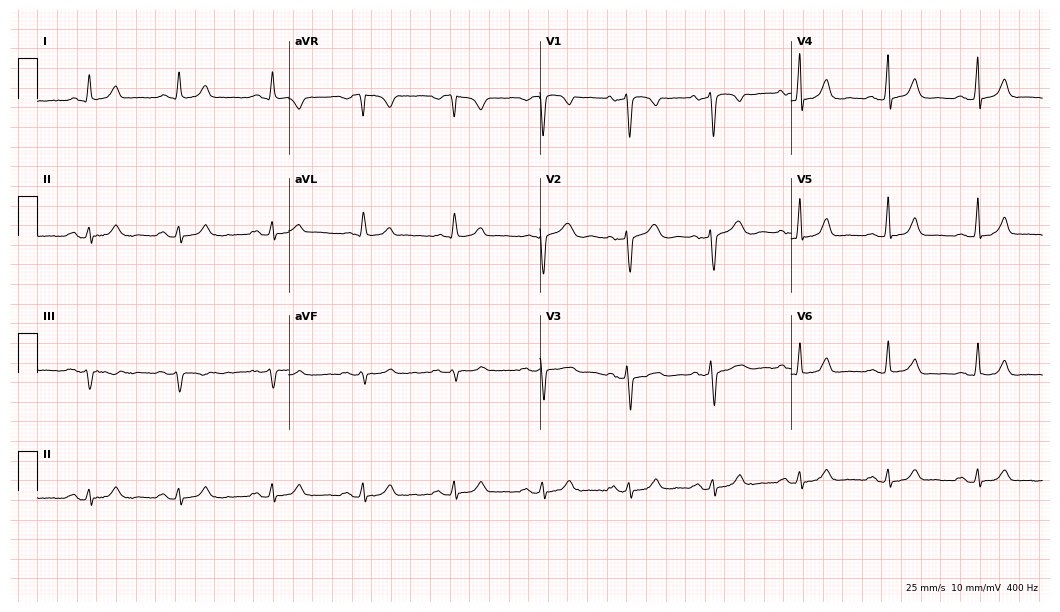
12-lead ECG from a woman, 51 years old. Labelled as a normal ECG.